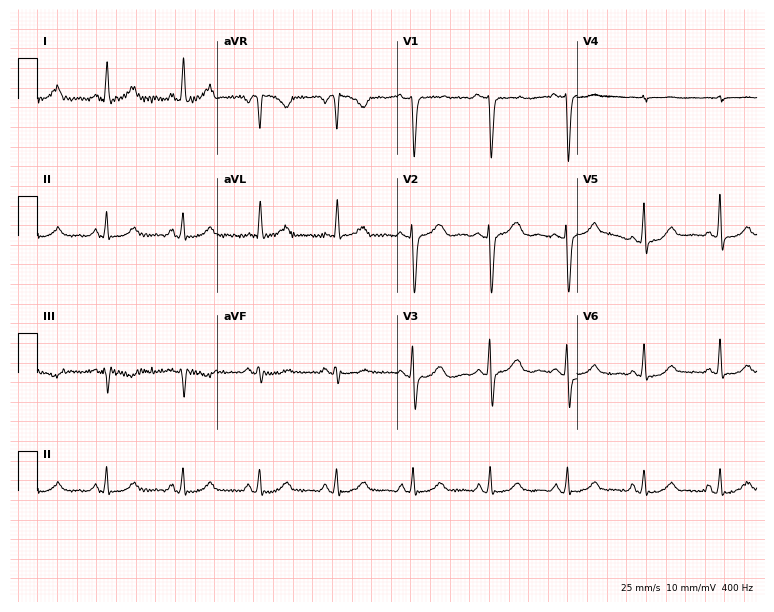
ECG (7.3-second recording at 400 Hz) — a female patient, 58 years old. Screened for six findings — first-degree AV block, right bundle branch block, left bundle branch block, sinus bradycardia, atrial fibrillation, sinus tachycardia — none is recorded.